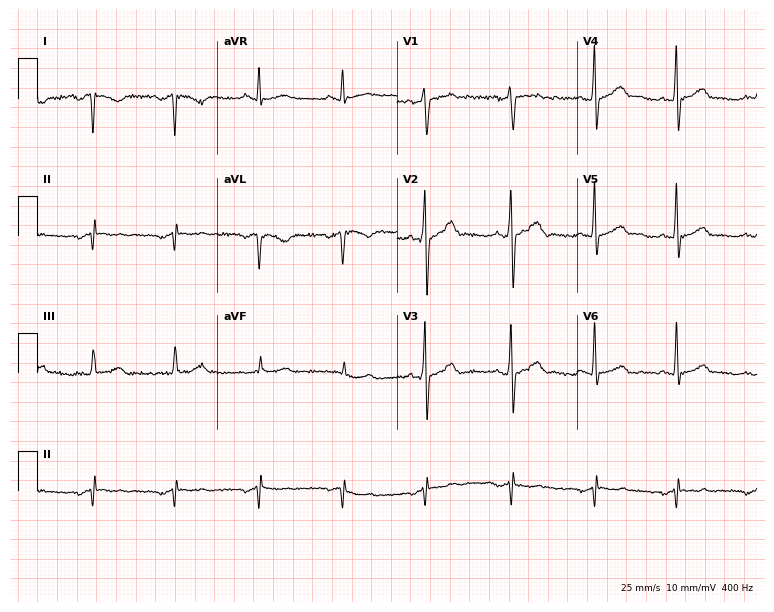
12-lead ECG from a 26-year-old man. No first-degree AV block, right bundle branch block (RBBB), left bundle branch block (LBBB), sinus bradycardia, atrial fibrillation (AF) or sinus tachycardia recorded for this tracing.